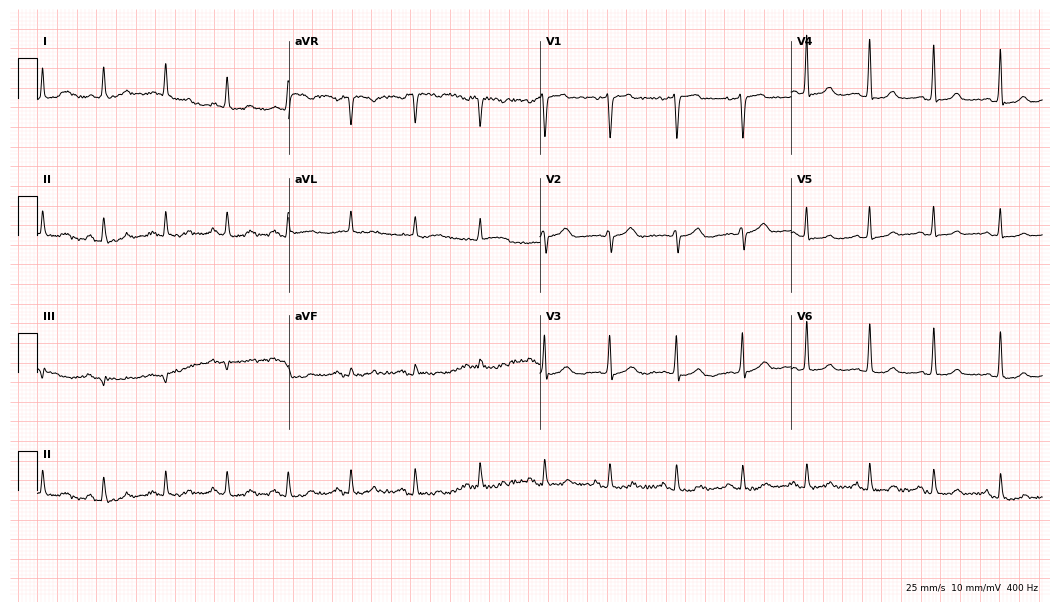
Electrocardiogram, a woman, 78 years old. Of the six screened findings (first-degree AV block, right bundle branch block (RBBB), left bundle branch block (LBBB), sinus bradycardia, atrial fibrillation (AF), sinus tachycardia), none is recorded. Other findings, if any, are not listed.